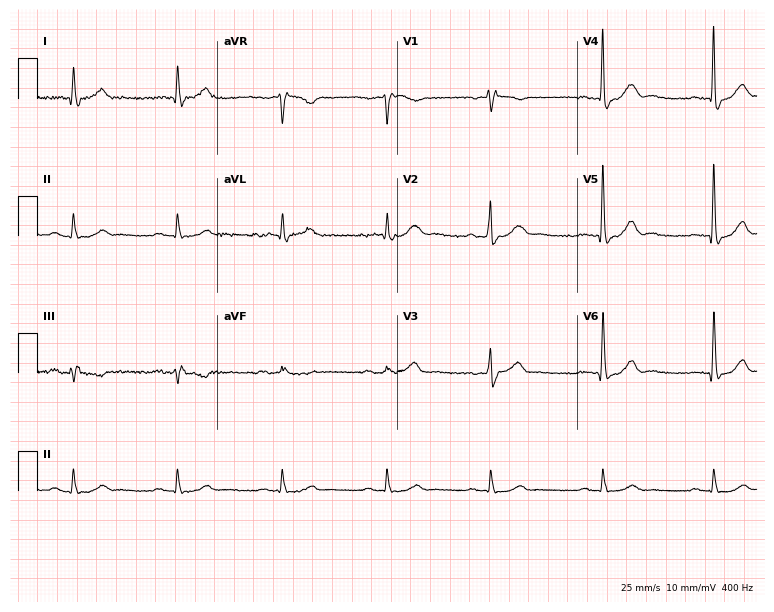
Electrocardiogram (7.3-second recording at 400 Hz), an 80-year-old male patient. Of the six screened findings (first-degree AV block, right bundle branch block, left bundle branch block, sinus bradycardia, atrial fibrillation, sinus tachycardia), none is recorded.